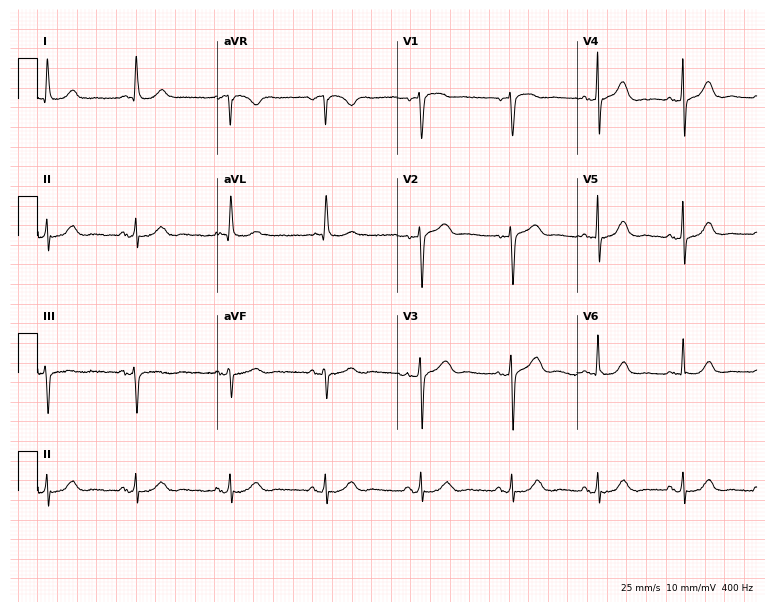
12-lead ECG from a 58-year-old female patient. Labelled as a normal ECG.